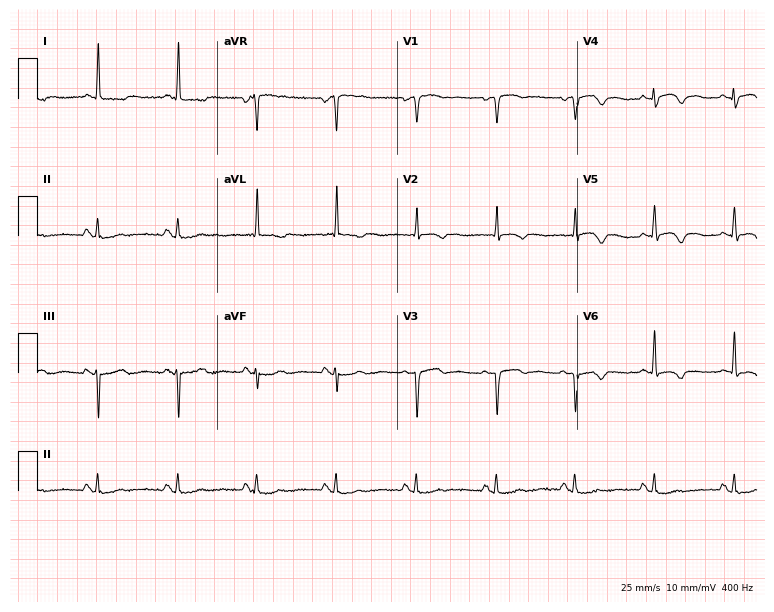
12-lead ECG from a woman, 77 years old. Screened for six findings — first-degree AV block, right bundle branch block (RBBB), left bundle branch block (LBBB), sinus bradycardia, atrial fibrillation (AF), sinus tachycardia — none is recorded.